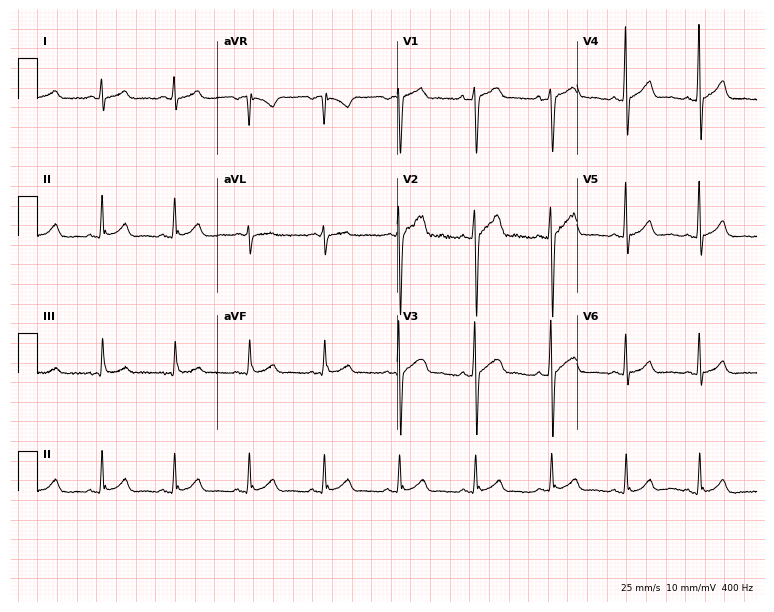
12-lead ECG from a 42-year-old man. Recorded interpretation: within normal limits.